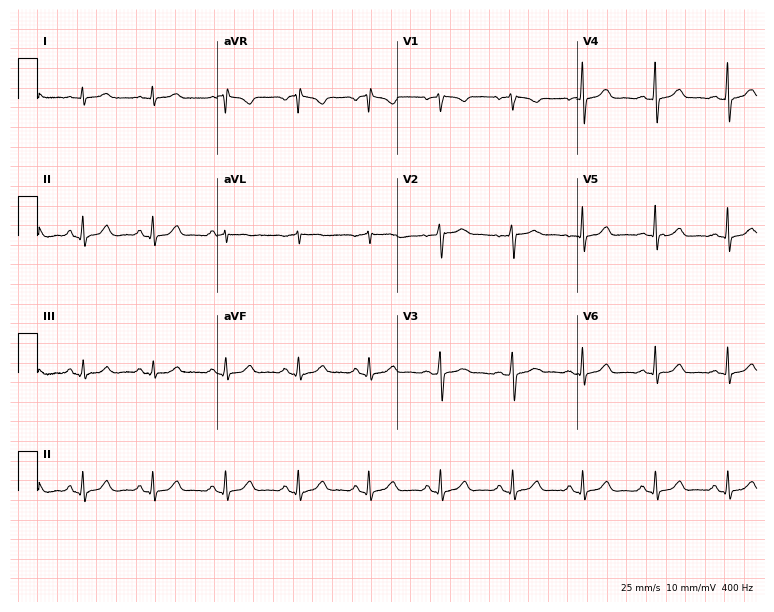
12-lead ECG from a female patient, 57 years old. Labelled as a normal ECG.